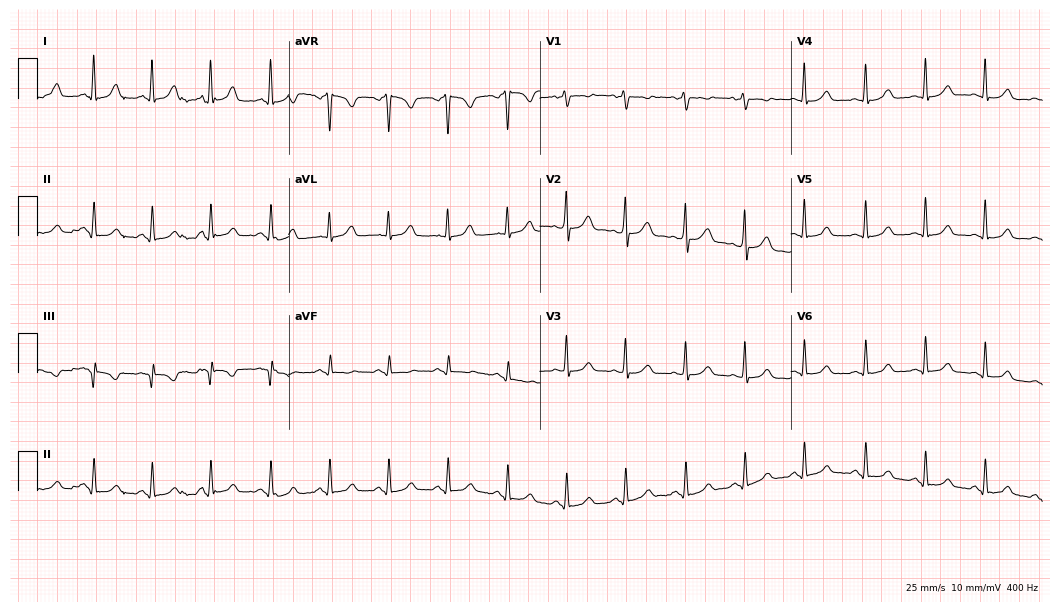
Electrocardiogram (10.2-second recording at 400 Hz), a 27-year-old woman. Overall reading on record: normal ECG.